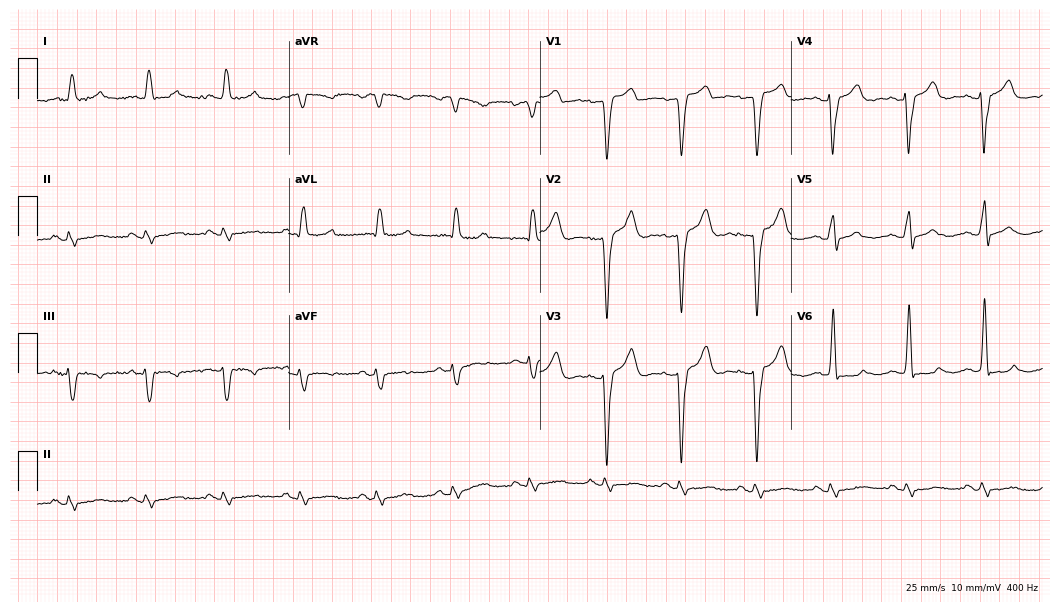
Standard 12-lead ECG recorded from a 77-year-old male patient. The tracing shows left bundle branch block.